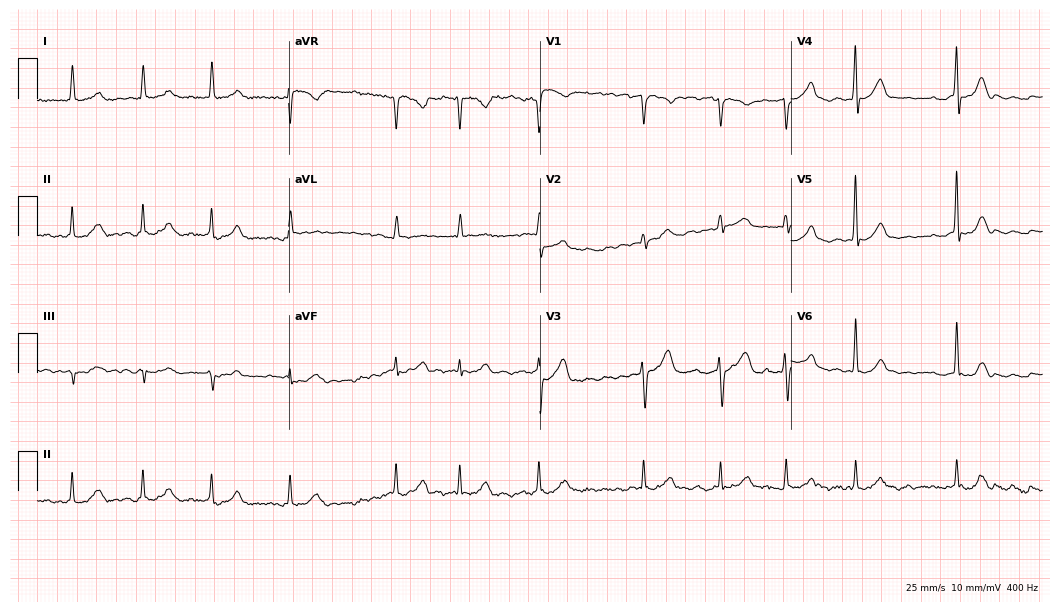
12-lead ECG from an 81-year-old male patient (10.2-second recording at 400 Hz). Shows atrial fibrillation (AF).